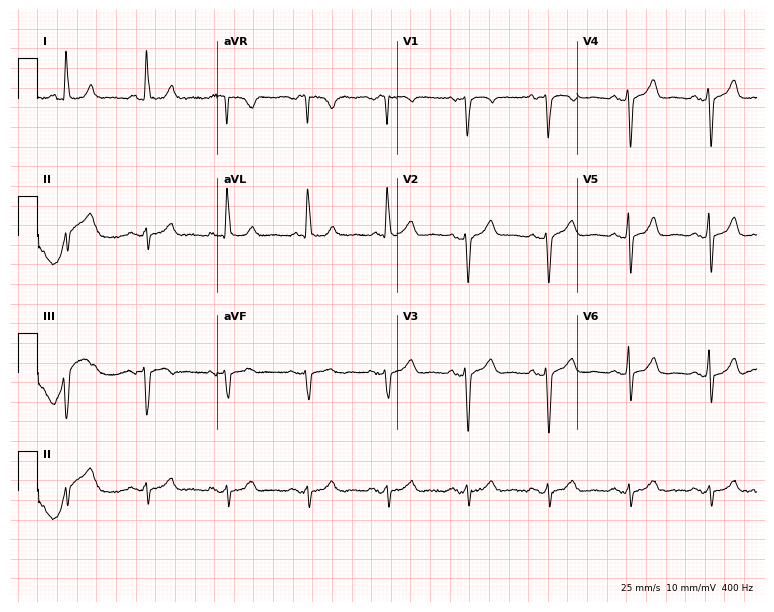
12-lead ECG from a female, 80 years old. No first-degree AV block, right bundle branch block (RBBB), left bundle branch block (LBBB), sinus bradycardia, atrial fibrillation (AF) or sinus tachycardia recorded for this tracing.